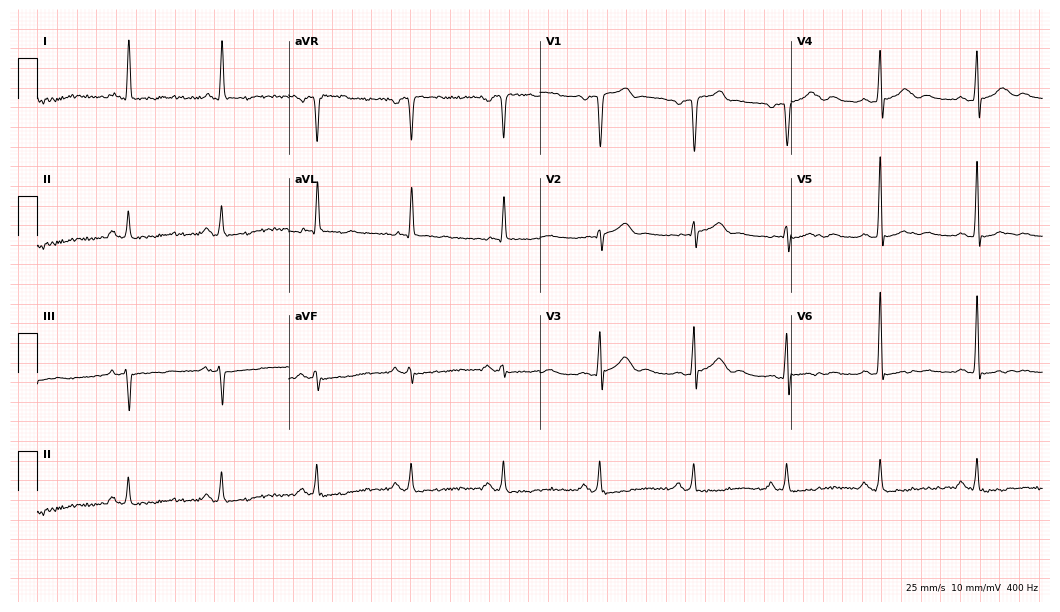
ECG — a 76-year-old man. Screened for six findings — first-degree AV block, right bundle branch block (RBBB), left bundle branch block (LBBB), sinus bradycardia, atrial fibrillation (AF), sinus tachycardia — none is recorded.